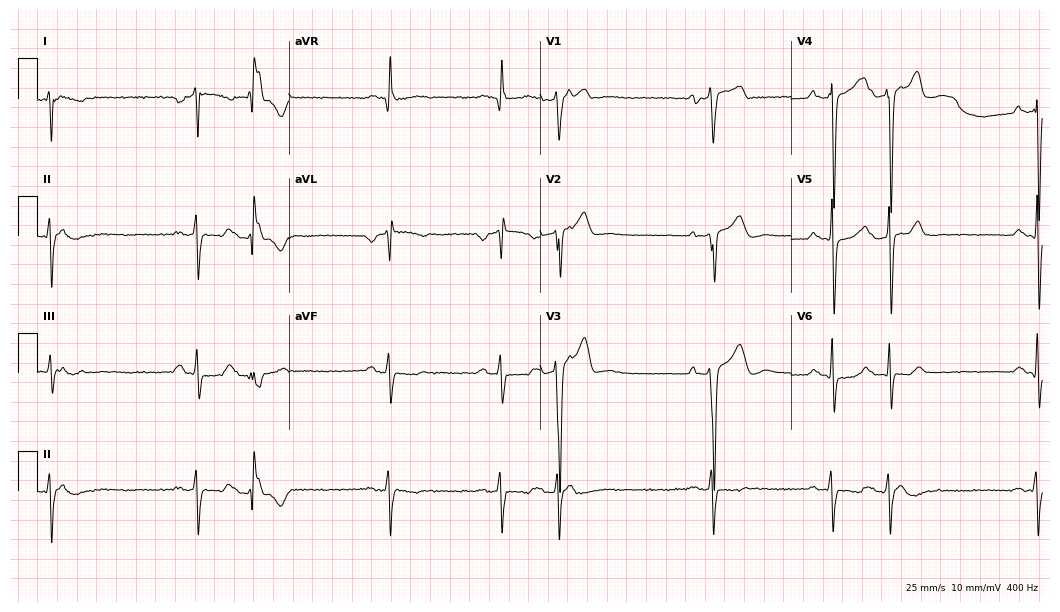
ECG (10.2-second recording at 400 Hz) — a 34-year-old male. Screened for six findings — first-degree AV block, right bundle branch block (RBBB), left bundle branch block (LBBB), sinus bradycardia, atrial fibrillation (AF), sinus tachycardia — none is recorded. Only these six findings were labelled.